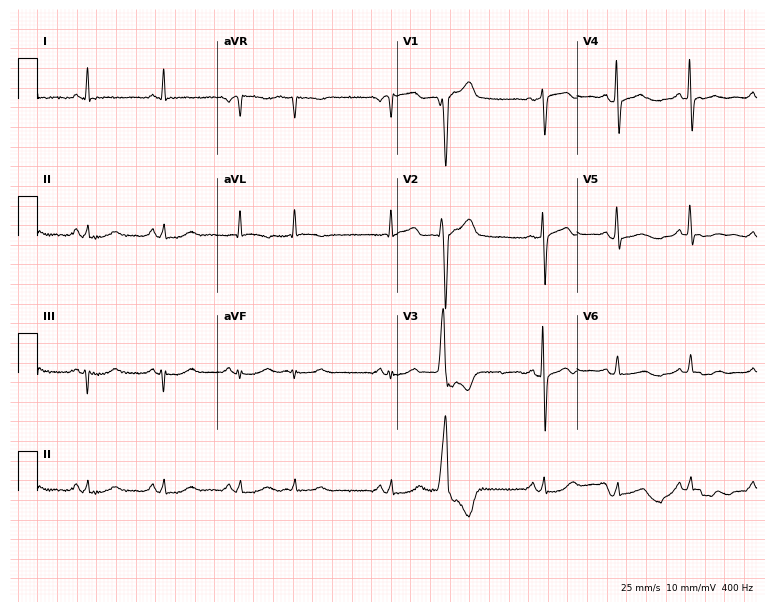
Electrocardiogram (7.3-second recording at 400 Hz), an 86-year-old male patient. Of the six screened findings (first-degree AV block, right bundle branch block (RBBB), left bundle branch block (LBBB), sinus bradycardia, atrial fibrillation (AF), sinus tachycardia), none is recorded. Only these six findings were labelled.